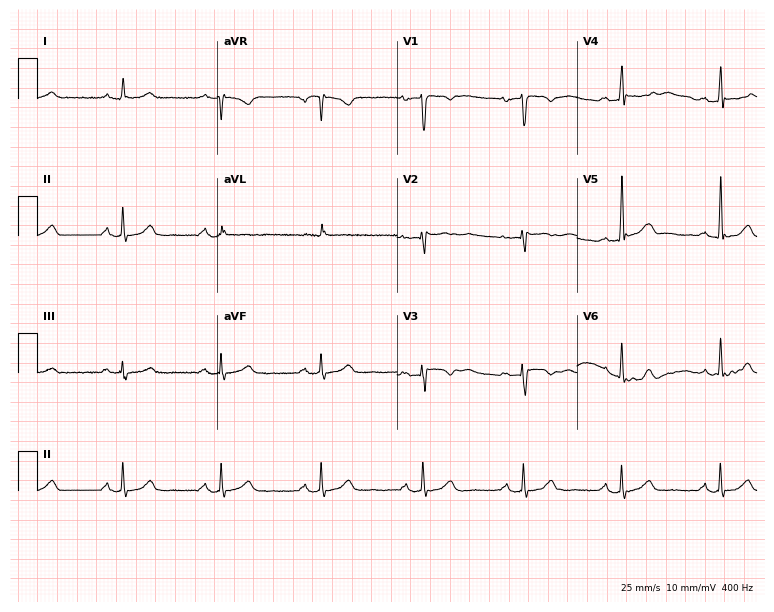
Standard 12-lead ECG recorded from a male, 47 years old (7.3-second recording at 400 Hz). Read as a normal ECG.